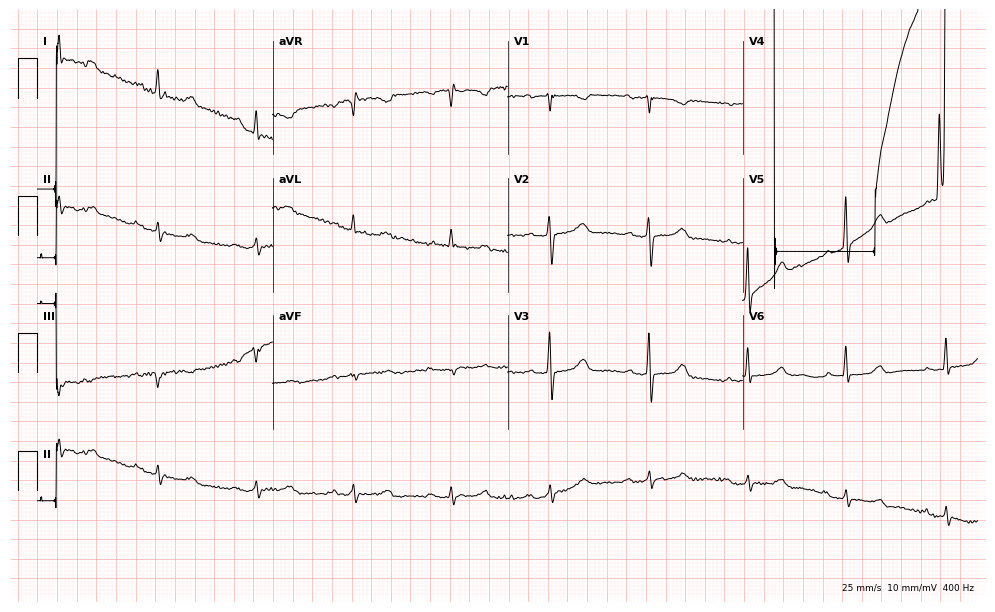
Standard 12-lead ECG recorded from a female, 68 years old. None of these six findings is recorded: first-degree AV block, right bundle branch block, left bundle branch block, sinus bradycardia, atrial fibrillation, sinus tachycardia.